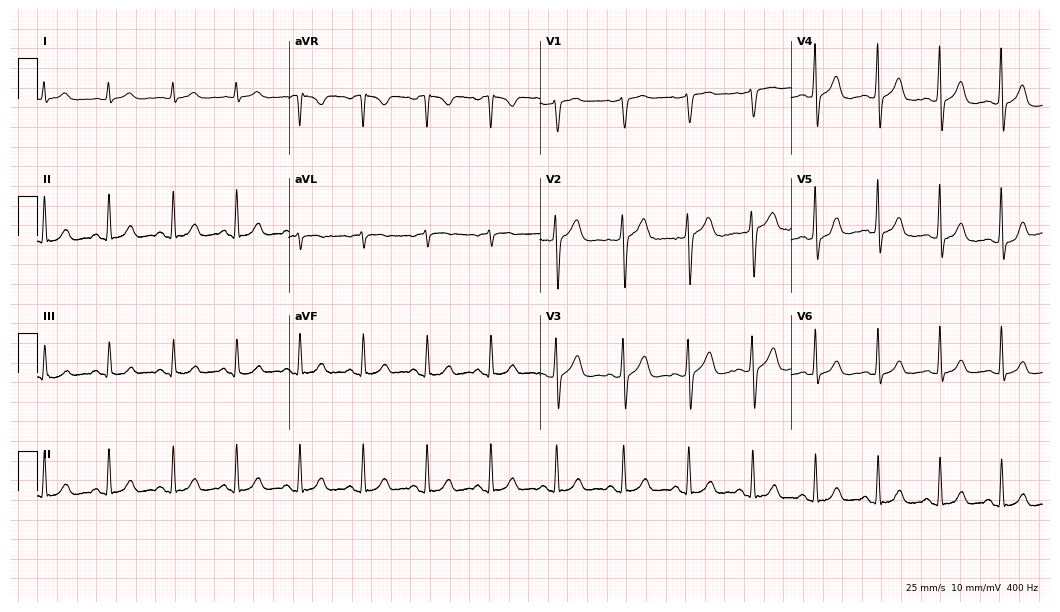
ECG — a male, 55 years old. Labelled as a normal ECG.